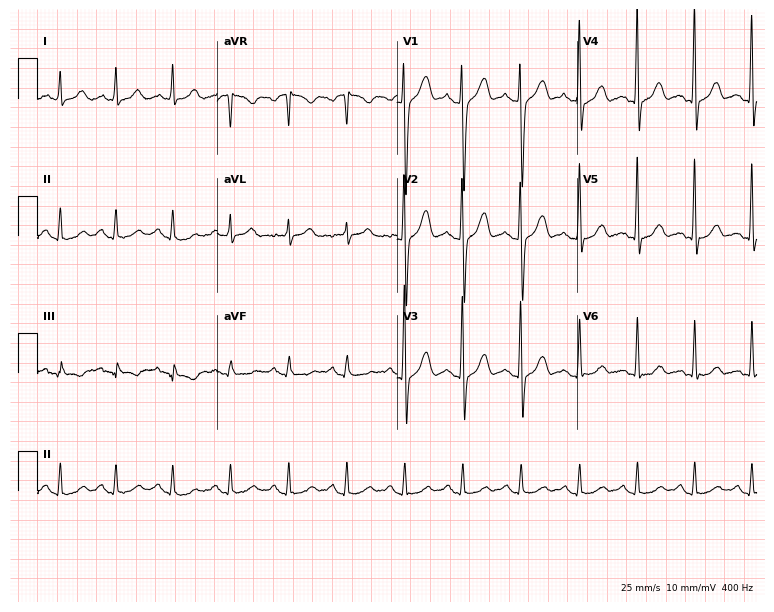
Electrocardiogram, a man, 51 years old. Of the six screened findings (first-degree AV block, right bundle branch block, left bundle branch block, sinus bradycardia, atrial fibrillation, sinus tachycardia), none is recorded. Only these six findings were labelled.